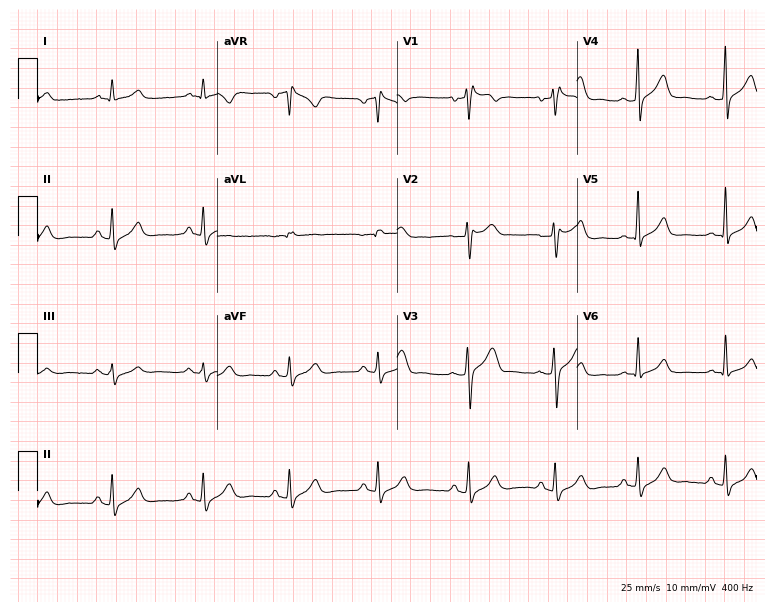
Standard 12-lead ECG recorded from a male patient, 42 years old (7.3-second recording at 400 Hz). The tracing shows right bundle branch block (RBBB).